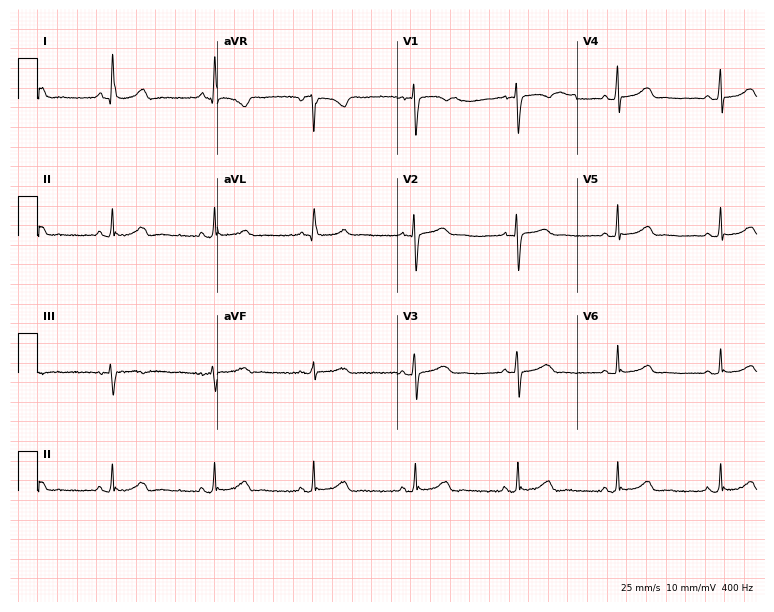
Standard 12-lead ECG recorded from a 63-year-old female. Read as a normal ECG.